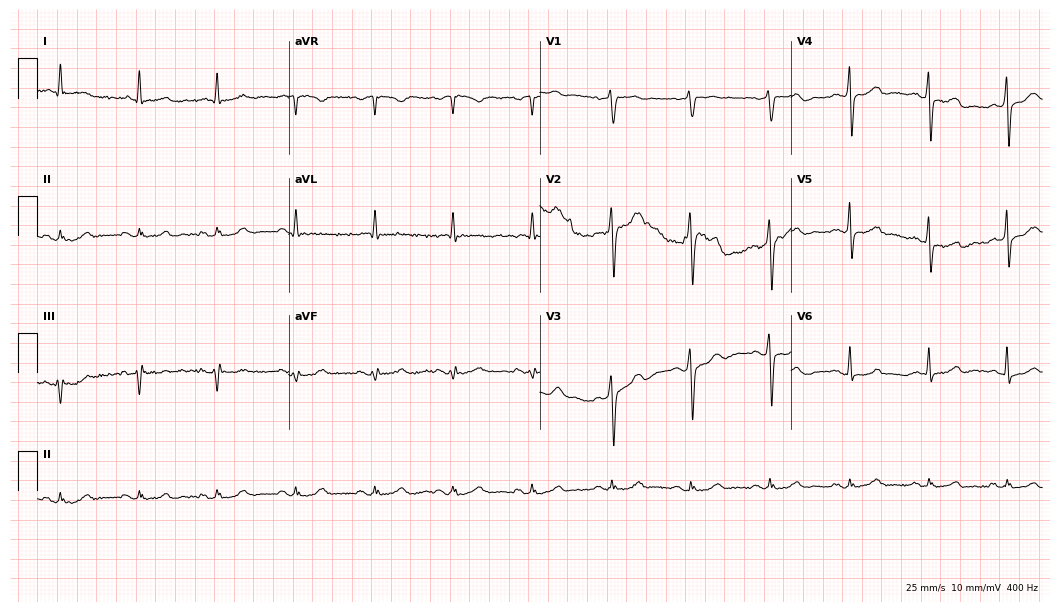
12-lead ECG from a male patient, 70 years old. No first-degree AV block, right bundle branch block, left bundle branch block, sinus bradycardia, atrial fibrillation or sinus tachycardia recorded for this tracing.